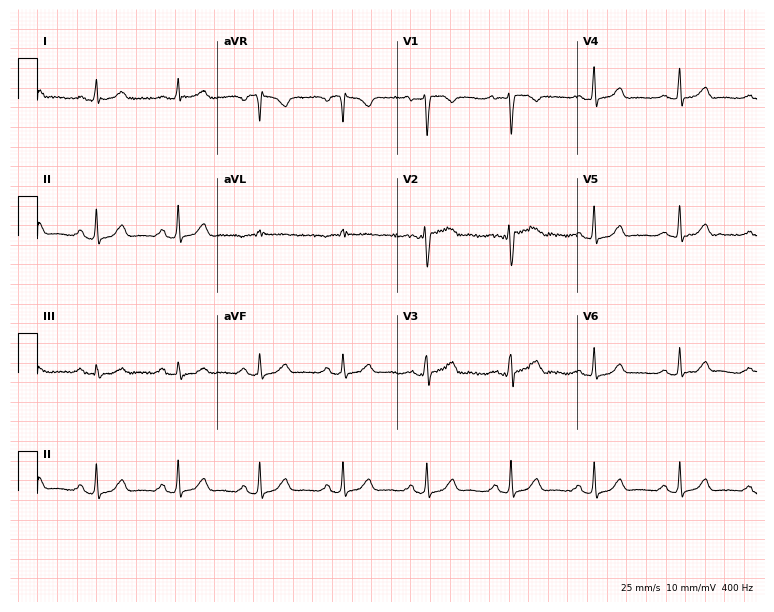
Resting 12-lead electrocardiogram (7.3-second recording at 400 Hz). Patient: a female, 59 years old. None of these six findings is recorded: first-degree AV block, right bundle branch block, left bundle branch block, sinus bradycardia, atrial fibrillation, sinus tachycardia. Other findings, if any, are not listed.